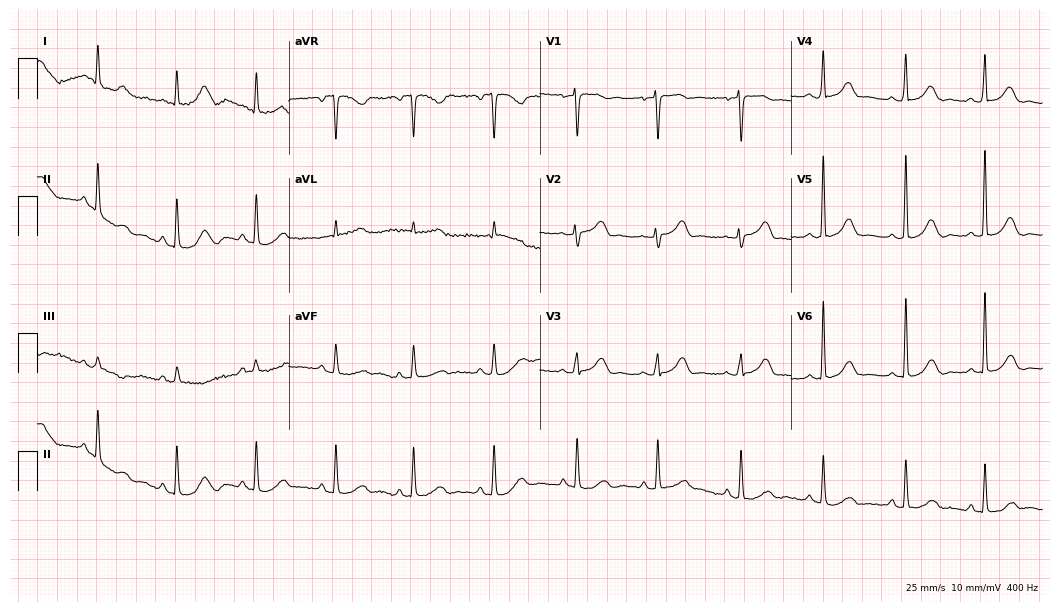
Resting 12-lead electrocardiogram. Patient: a female, 74 years old. Read as a normal ECG.